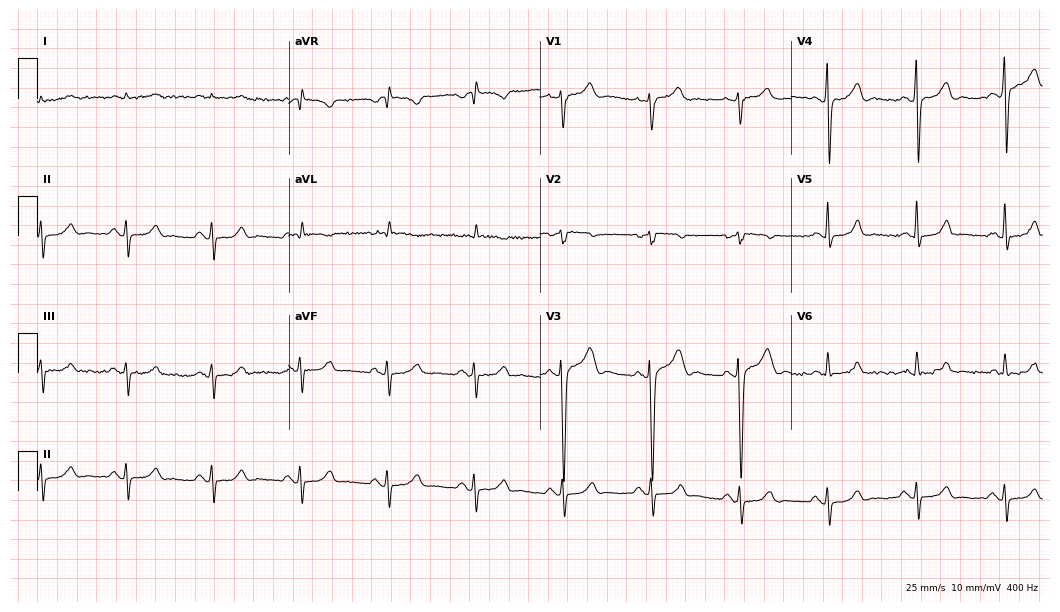
12-lead ECG from a 49-year-old female. Screened for six findings — first-degree AV block, right bundle branch block (RBBB), left bundle branch block (LBBB), sinus bradycardia, atrial fibrillation (AF), sinus tachycardia — none is recorded.